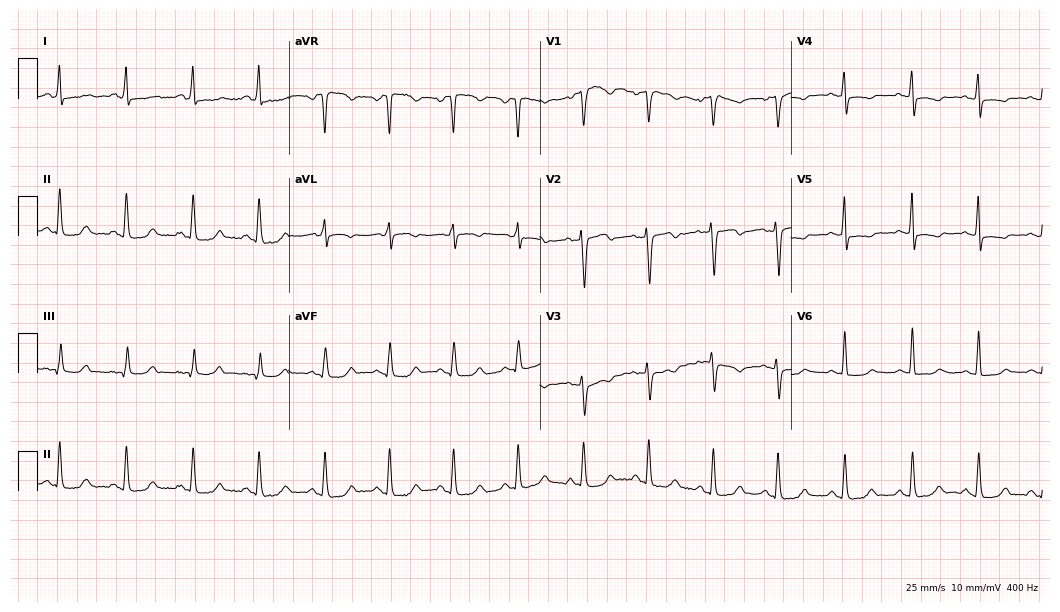
ECG — a woman, 43 years old. Screened for six findings — first-degree AV block, right bundle branch block (RBBB), left bundle branch block (LBBB), sinus bradycardia, atrial fibrillation (AF), sinus tachycardia — none is recorded.